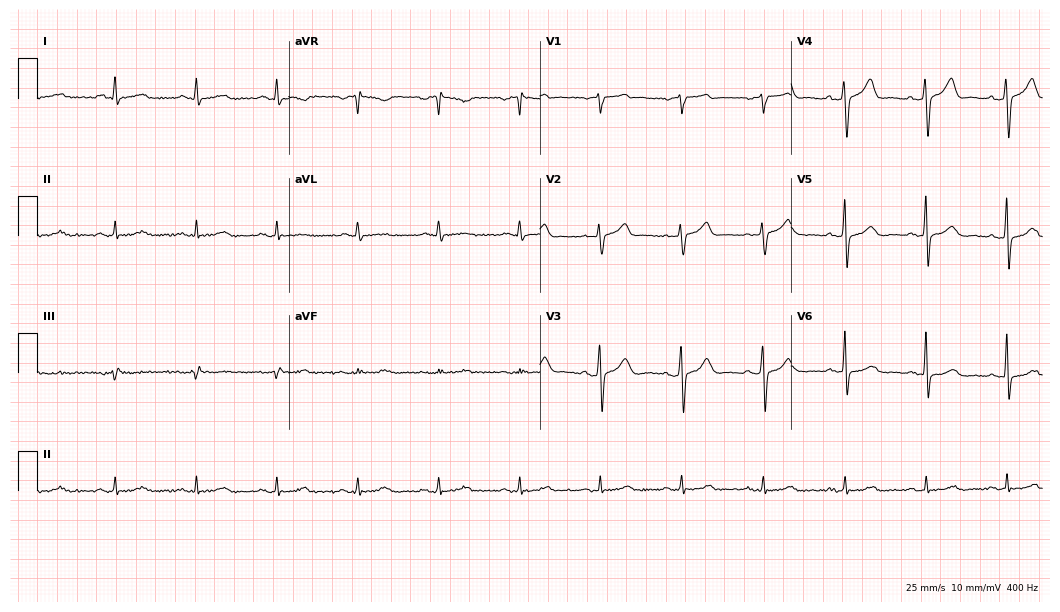
Resting 12-lead electrocardiogram. Patient: a 63-year-old male. Read as a normal ECG.